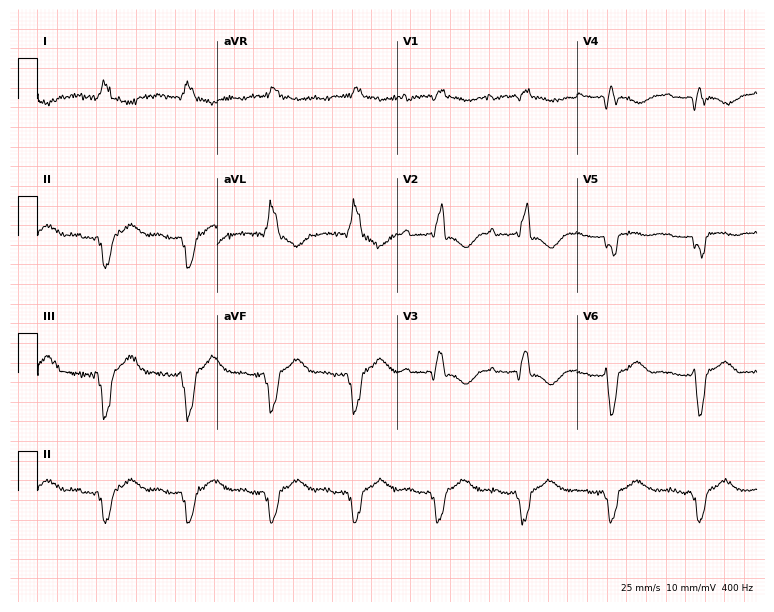
Electrocardiogram (7.3-second recording at 400 Hz), a man, 39 years old. Interpretation includes first-degree AV block, right bundle branch block (RBBB).